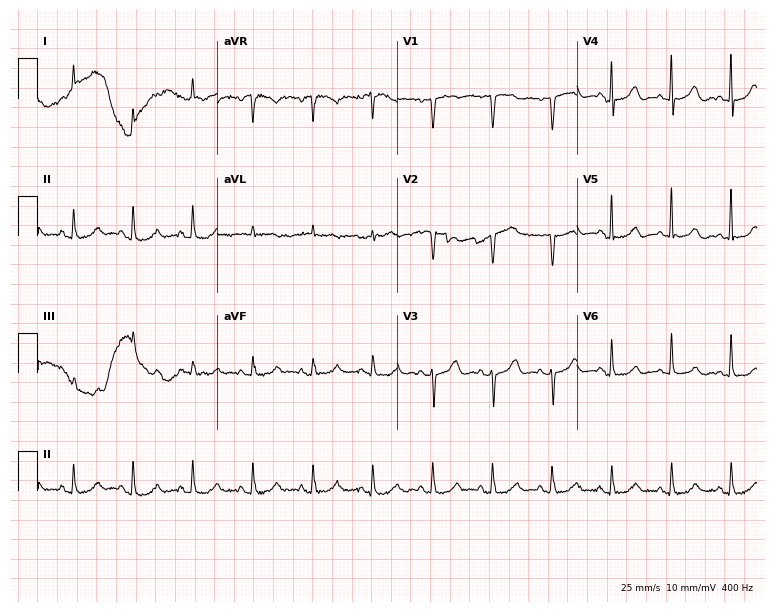
Electrocardiogram (7.3-second recording at 400 Hz), an 85-year-old female. Of the six screened findings (first-degree AV block, right bundle branch block (RBBB), left bundle branch block (LBBB), sinus bradycardia, atrial fibrillation (AF), sinus tachycardia), none is recorded.